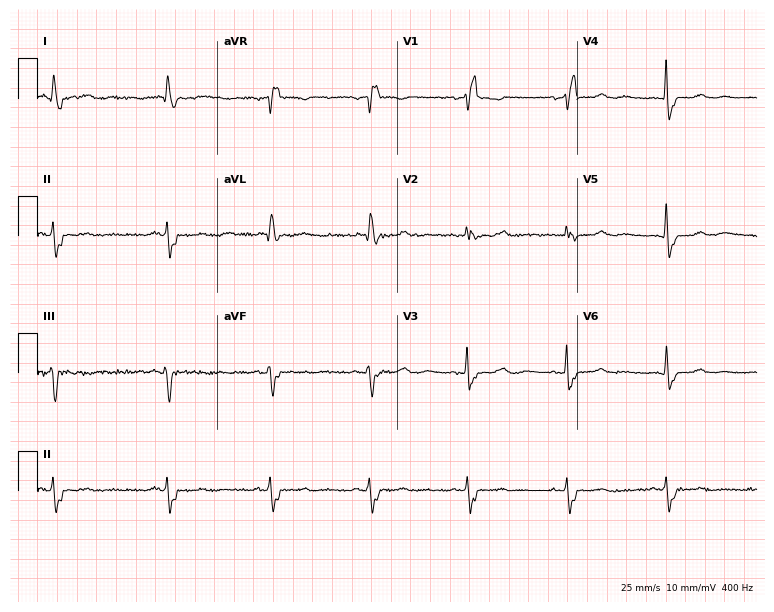
Standard 12-lead ECG recorded from a 66-year-old female patient (7.3-second recording at 400 Hz). The tracing shows right bundle branch block (RBBB).